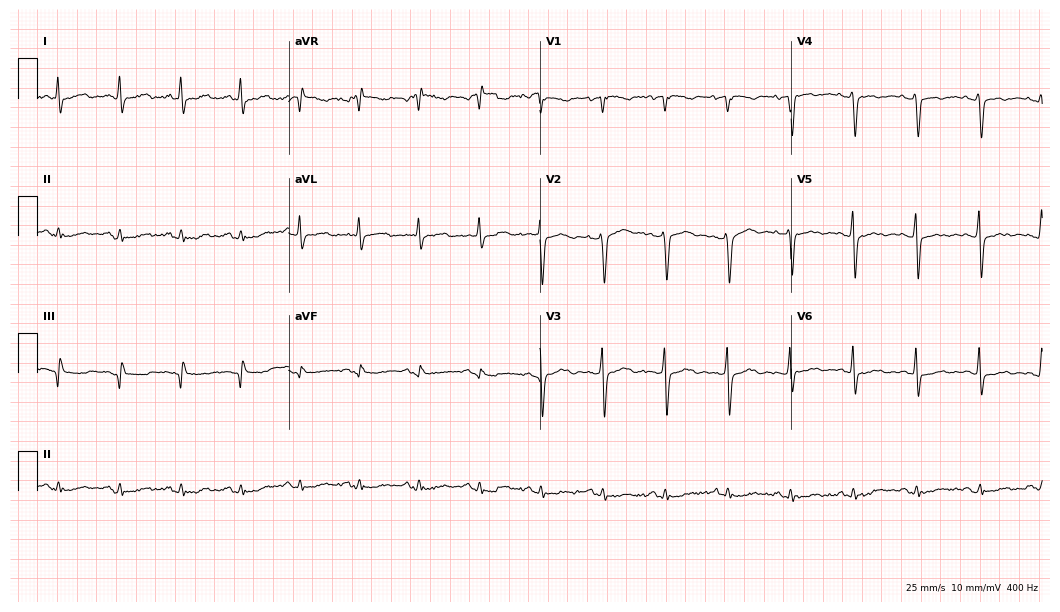
Standard 12-lead ECG recorded from a woman, 71 years old (10.2-second recording at 400 Hz). None of these six findings is recorded: first-degree AV block, right bundle branch block, left bundle branch block, sinus bradycardia, atrial fibrillation, sinus tachycardia.